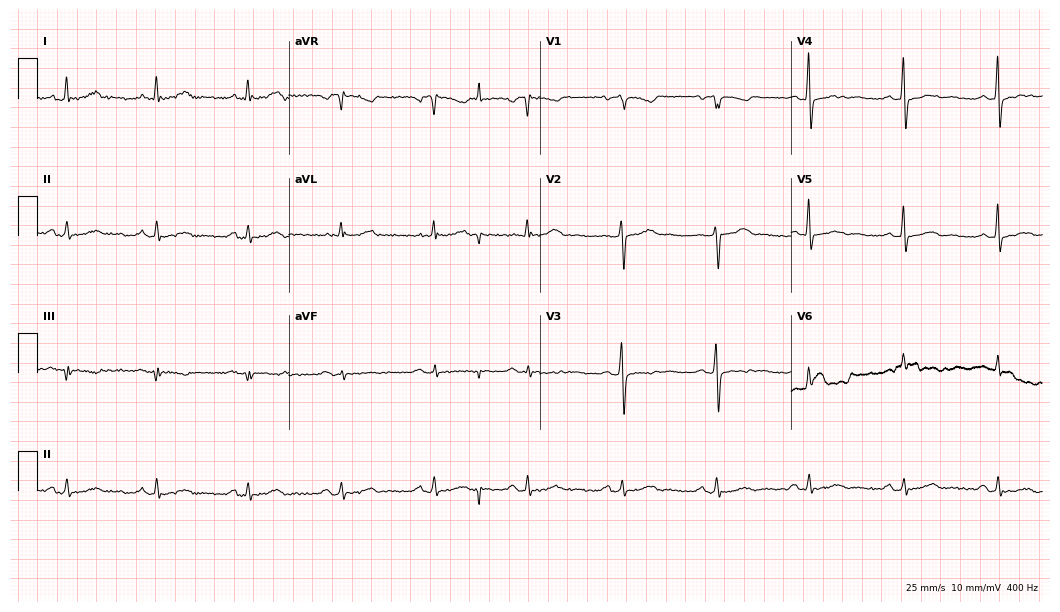
ECG — a 59-year-old woman. Screened for six findings — first-degree AV block, right bundle branch block (RBBB), left bundle branch block (LBBB), sinus bradycardia, atrial fibrillation (AF), sinus tachycardia — none is recorded.